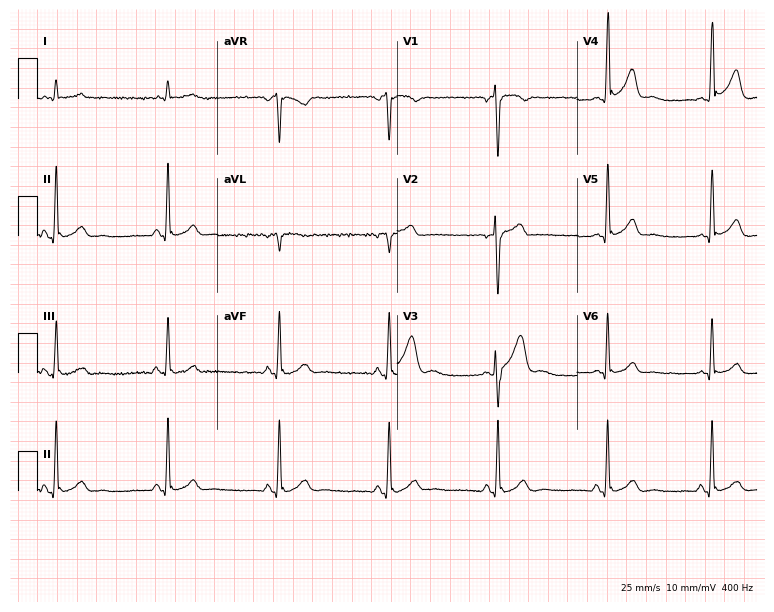
Standard 12-lead ECG recorded from a man, 22 years old (7.3-second recording at 400 Hz). None of these six findings is recorded: first-degree AV block, right bundle branch block, left bundle branch block, sinus bradycardia, atrial fibrillation, sinus tachycardia. Only these six findings were labelled.